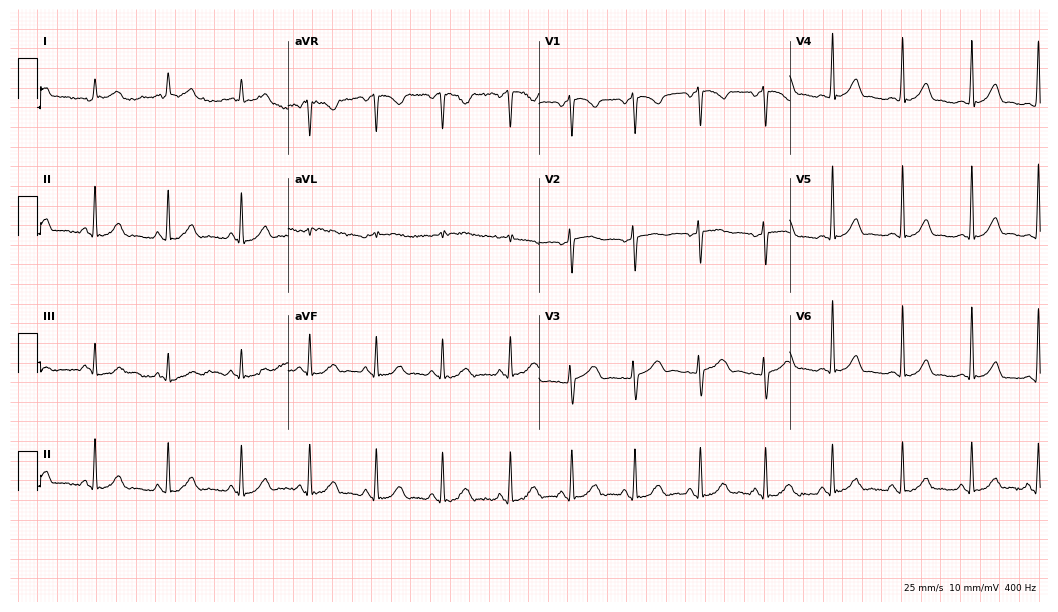
12-lead ECG from a 25-year-old female. Recorded interpretation: within normal limits.